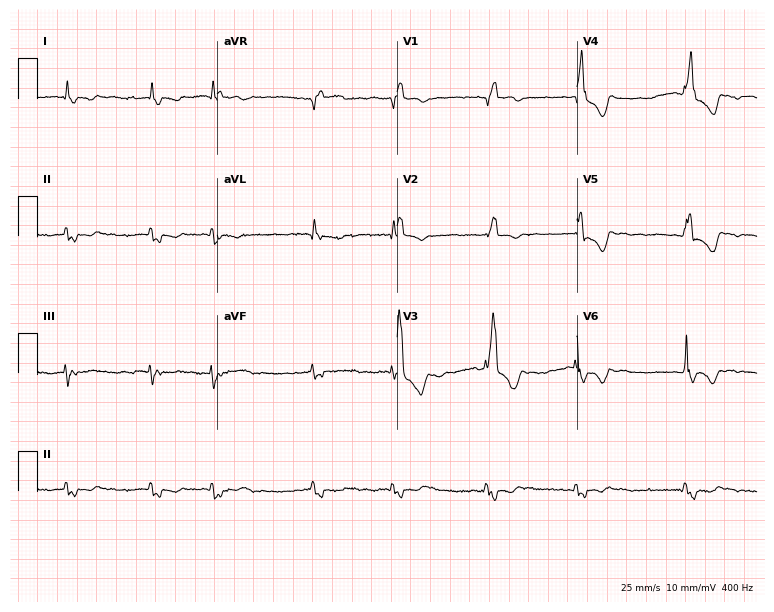
ECG — a 78-year-old female. Findings include right bundle branch block (RBBB), atrial fibrillation (AF).